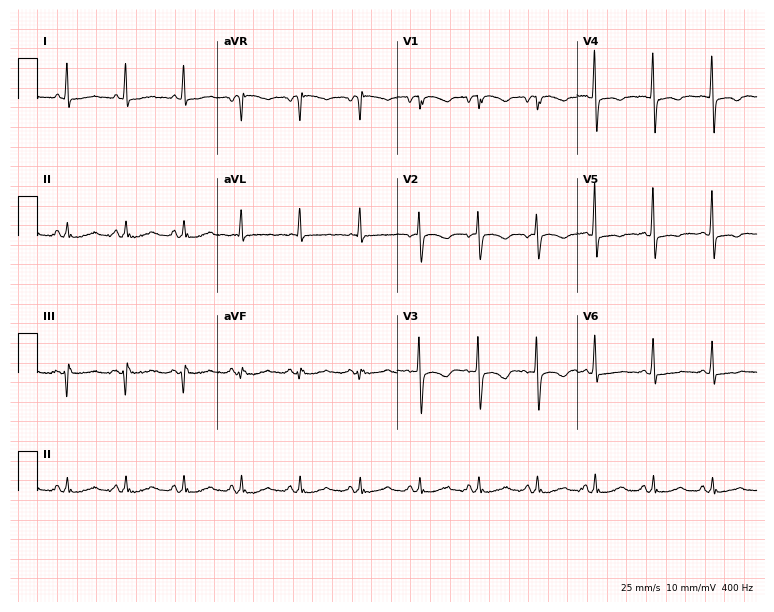
Standard 12-lead ECG recorded from a 62-year-old female patient (7.3-second recording at 400 Hz). The tracing shows sinus tachycardia (a sinus rate of 100 beats per minute or more).